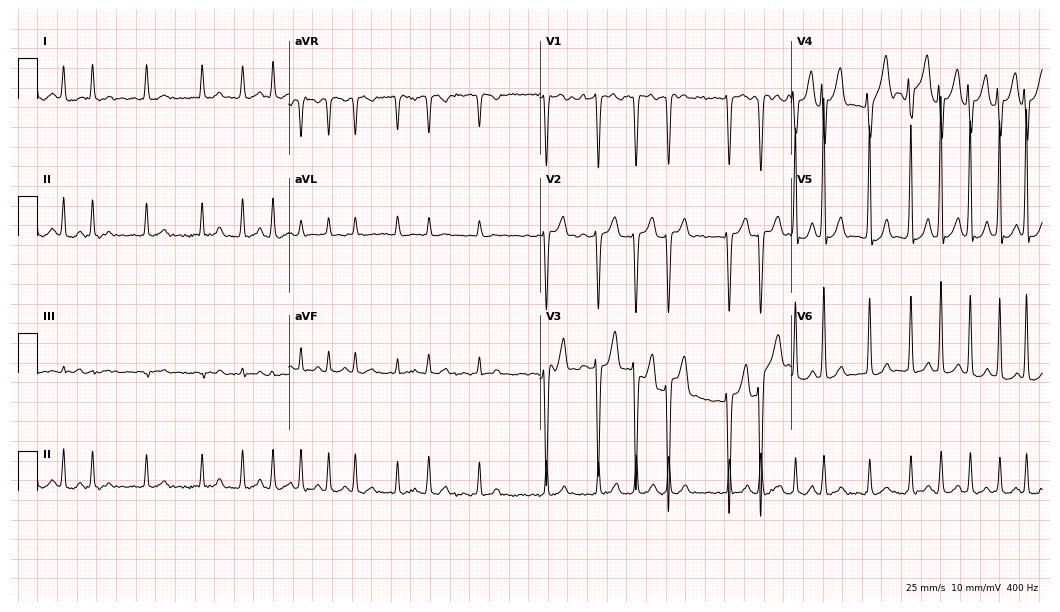
12-lead ECG from a male patient, 85 years old. Shows atrial fibrillation (AF).